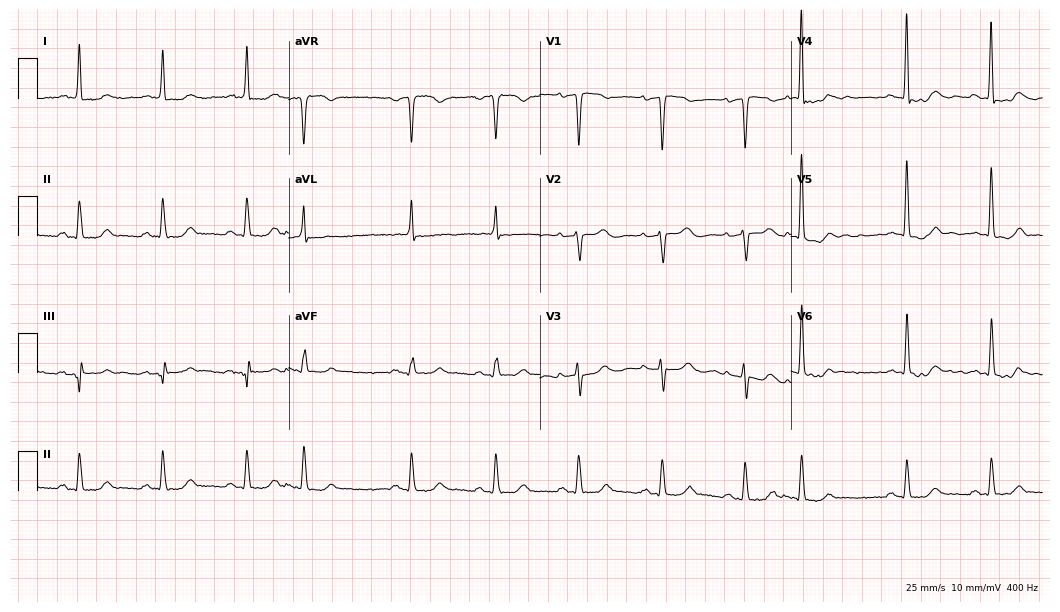
Standard 12-lead ECG recorded from a female patient, 64 years old (10.2-second recording at 400 Hz). None of these six findings is recorded: first-degree AV block, right bundle branch block, left bundle branch block, sinus bradycardia, atrial fibrillation, sinus tachycardia. Findings outside these six are not listed.